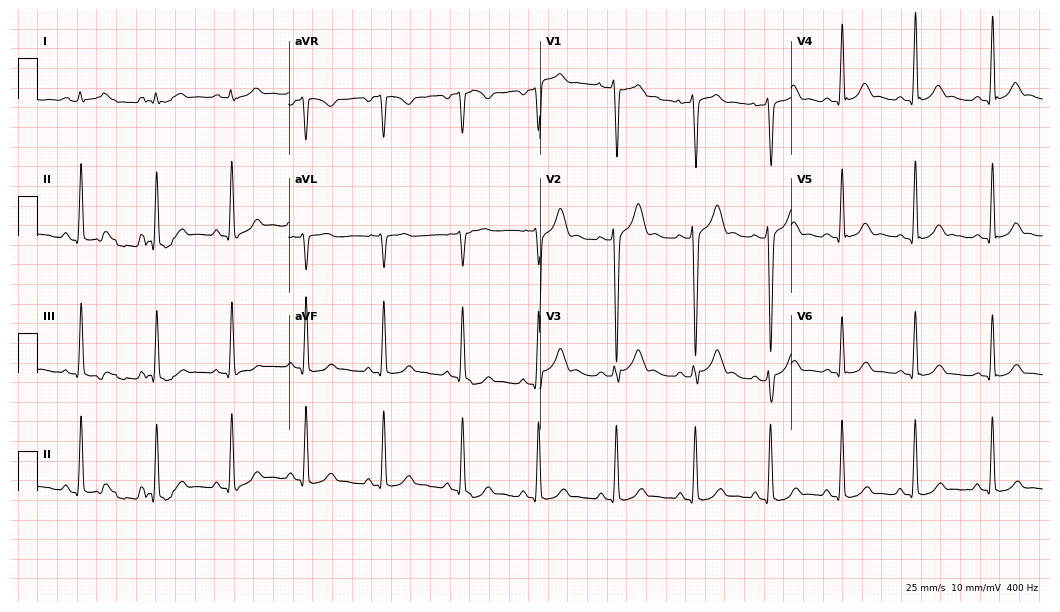
Resting 12-lead electrocardiogram (10.2-second recording at 400 Hz). Patient: an 18-year-old man. None of these six findings is recorded: first-degree AV block, right bundle branch block, left bundle branch block, sinus bradycardia, atrial fibrillation, sinus tachycardia. Only these six findings were labelled.